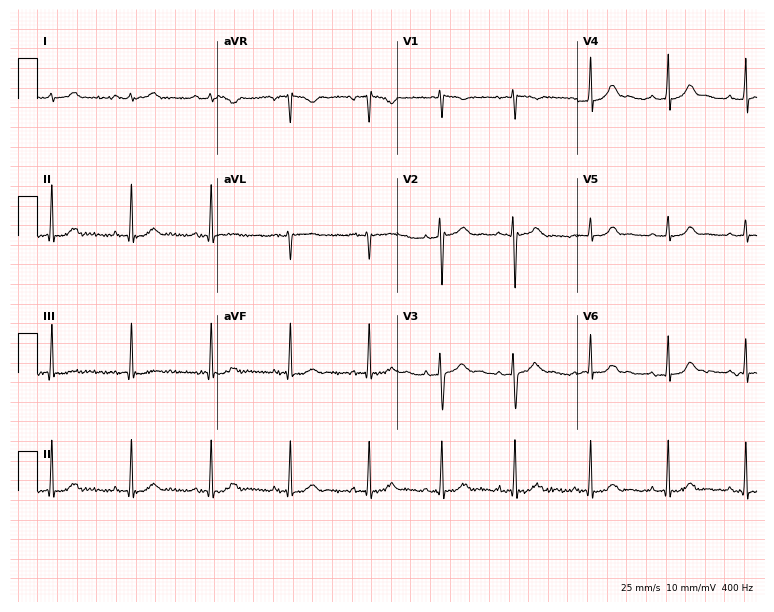
Standard 12-lead ECG recorded from a 24-year-old woman. None of these six findings is recorded: first-degree AV block, right bundle branch block (RBBB), left bundle branch block (LBBB), sinus bradycardia, atrial fibrillation (AF), sinus tachycardia. Only these six findings were labelled.